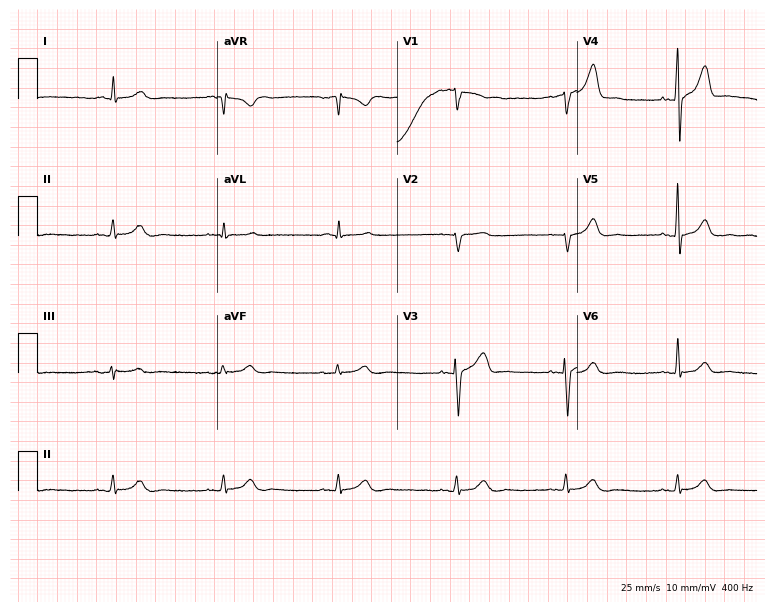
Electrocardiogram, a 61-year-old man. Overall reading on record: normal ECG.